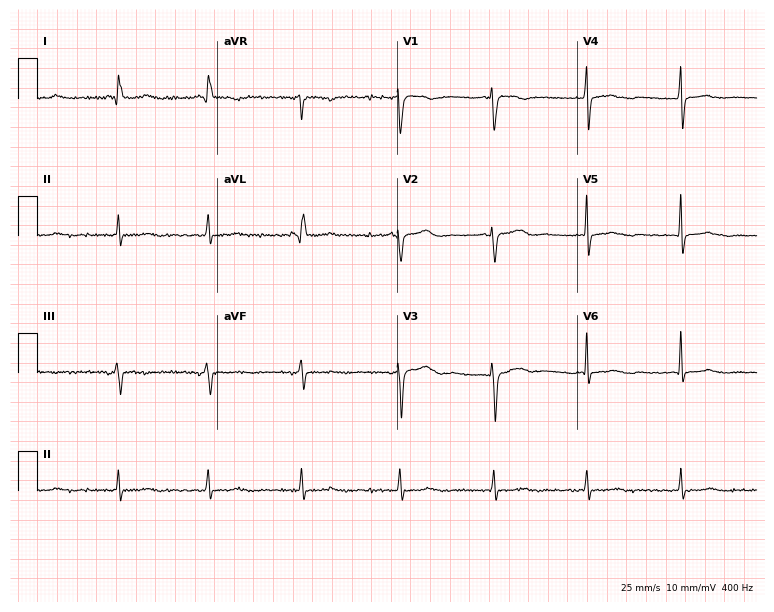
12-lead ECG from a 52-year-old woman. No first-degree AV block, right bundle branch block, left bundle branch block, sinus bradycardia, atrial fibrillation or sinus tachycardia recorded for this tracing.